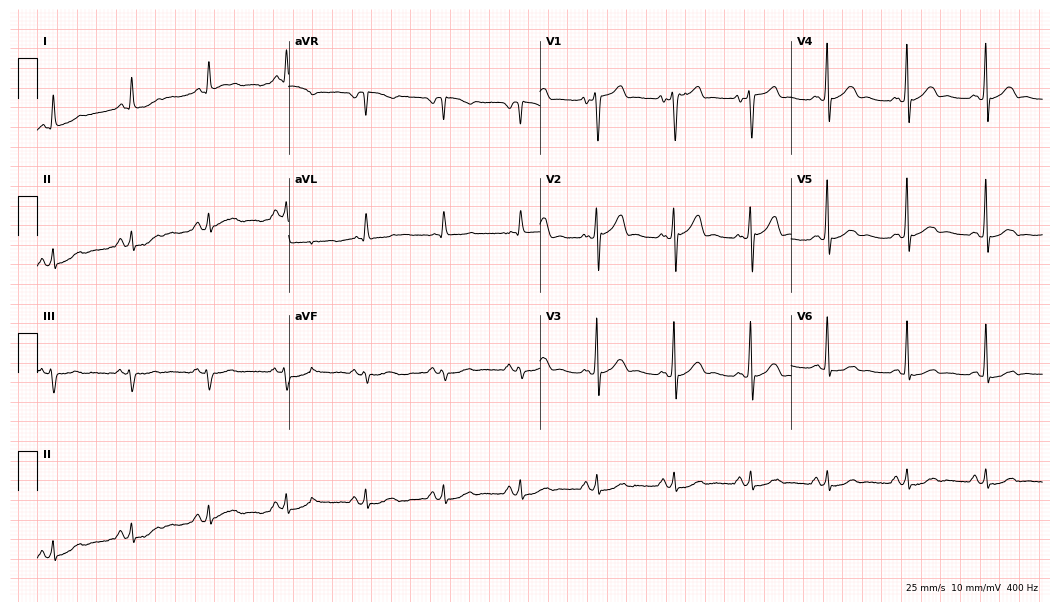
Electrocardiogram, a 66-year-old male patient. Of the six screened findings (first-degree AV block, right bundle branch block, left bundle branch block, sinus bradycardia, atrial fibrillation, sinus tachycardia), none is recorded. Only these six findings were labelled.